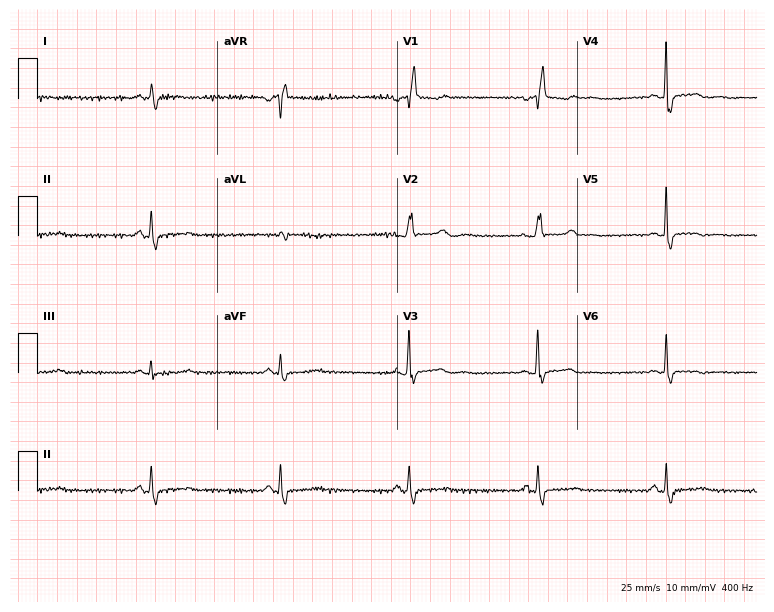
Electrocardiogram, a 58-year-old female patient. Interpretation includes sinus bradycardia (a sinus rate of 50 beats per minute or less).